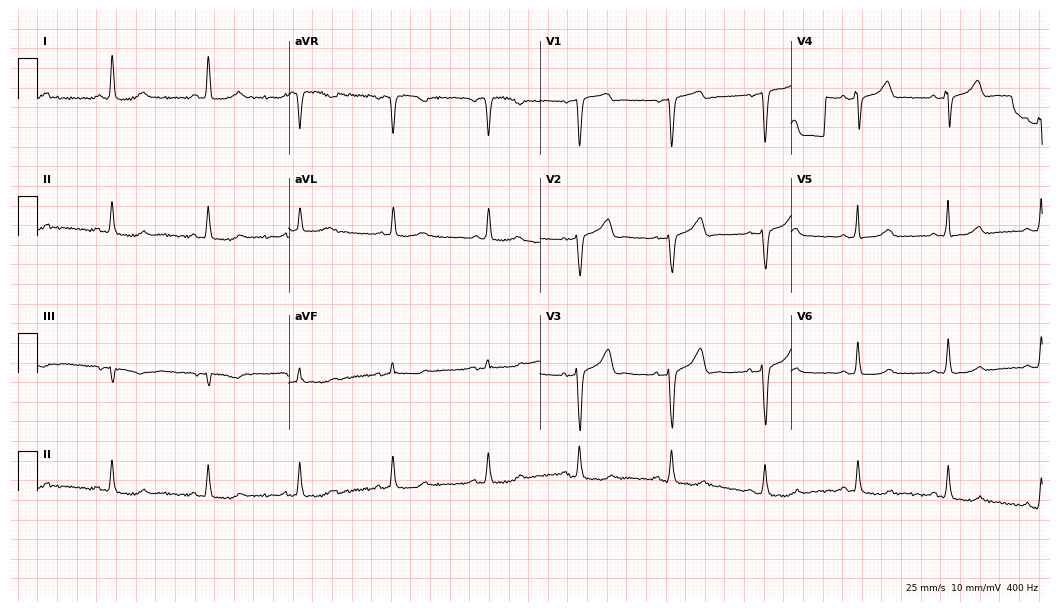
12-lead ECG (10.2-second recording at 400 Hz) from a woman, 48 years old. Labelled as a normal ECG.